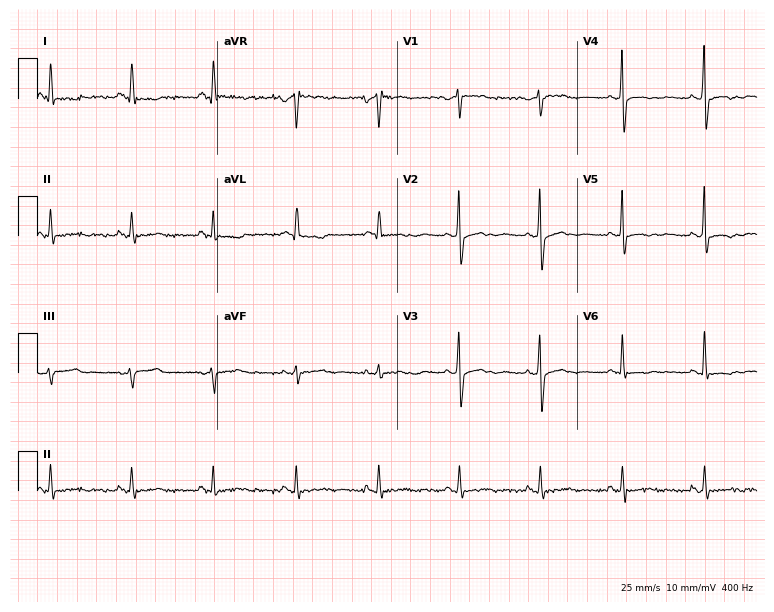
ECG (7.3-second recording at 400 Hz) — a 63-year-old woman. Screened for six findings — first-degree AV block, right bundle branch block, left bundle branch block, sinus bradycardia, atrial fibrillation, sinus tachycardia — none is recorded. Findings outside these six are not listed.